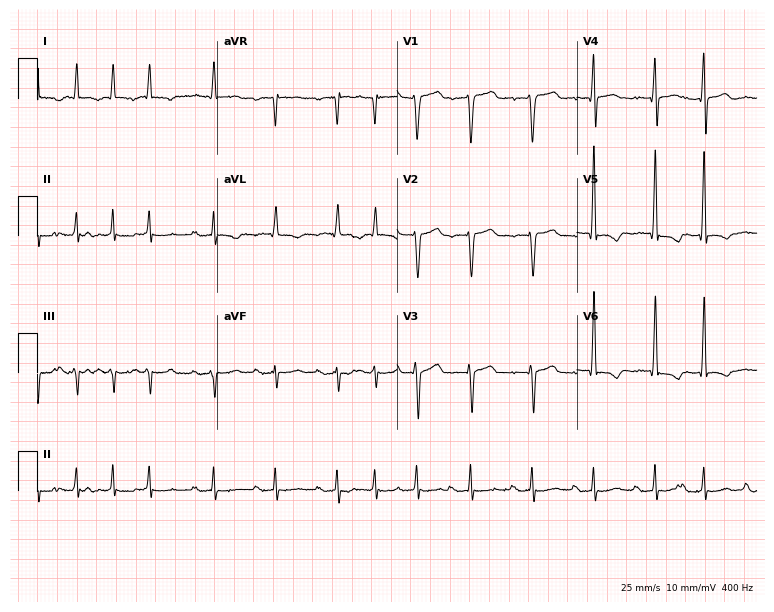
ECG — a man, 76 years old. Screened for six findings — first-degree AV block, right bundle branch block (RBBB), left bundle branch block (LBBB), sinus bradycardia, atrial fibrillation (AF), sinus tachycardia — none is recorded. Other findings, if any, are not listed.